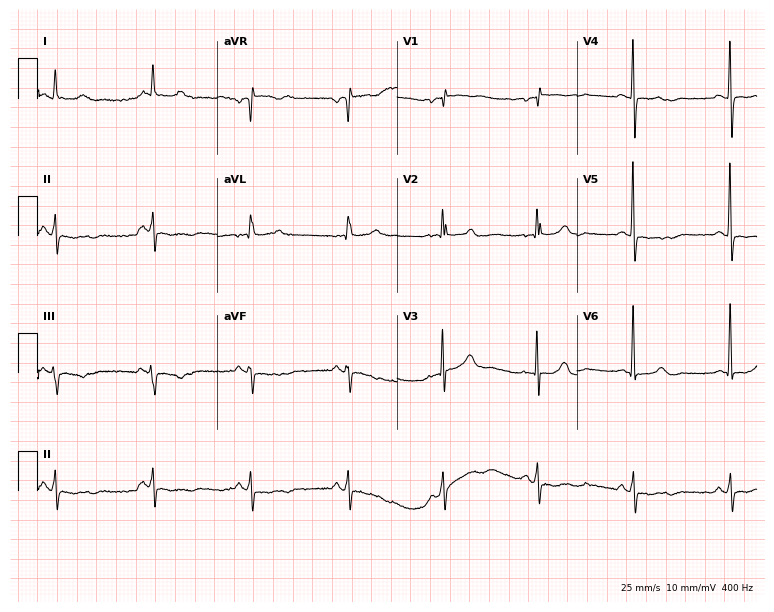
Resting 12-lead electrocardiogram. Patient: a female, 63 years old. None of these six findings is recorded: first-degree AV block, right bundle branch block, left bundle branch block, sinus bradycardia, atrial fibrillation, sinus tachycardia. Other findings, if any, are not listed.